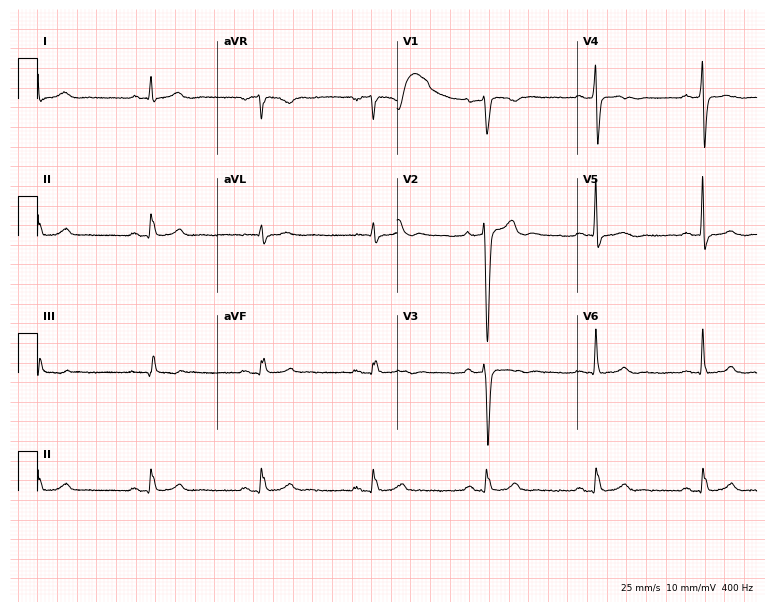
ECG — a 59-year-old male. Screened for six findings — first-degree AV block, right bundle branch block, left bundle branch block, sinus bradycardia, atrial fibrillation, sinus tachycardia — none is recorded. Only these six findings were labelled.